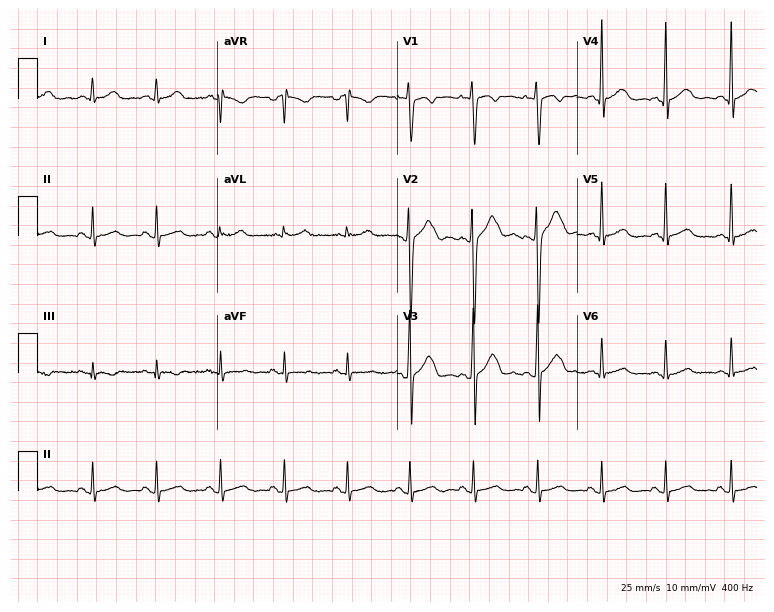
Resting 12-lead electrocardiogram (7.3-second recording at 400 Hz). Patient: a male, 21 years old. None of these six findings is recorded: first-degree AV block, right bundle branch block, left bundle branch block, sinus bradycardia, atrial fibrillation, sinus tachycardia.